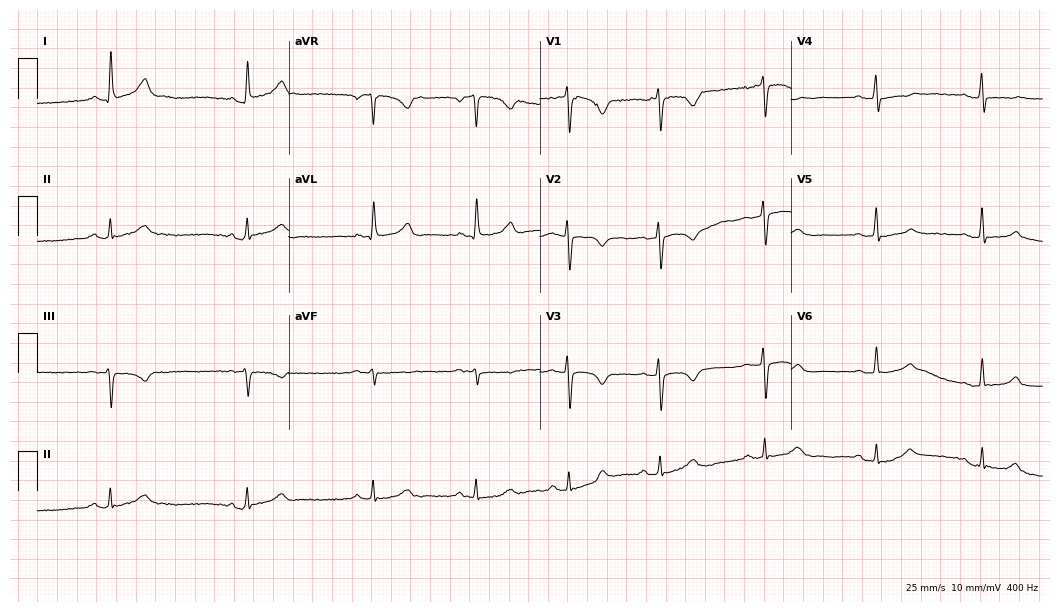
12-lead ECG from a 57-year-old female. No first-degree AV block, right bundle branch block, left bundle branch block, sinus bradycardia, atrial fibrillation or sinus tachycardia recorded for this tracing. Other findings, if any, are not listed.